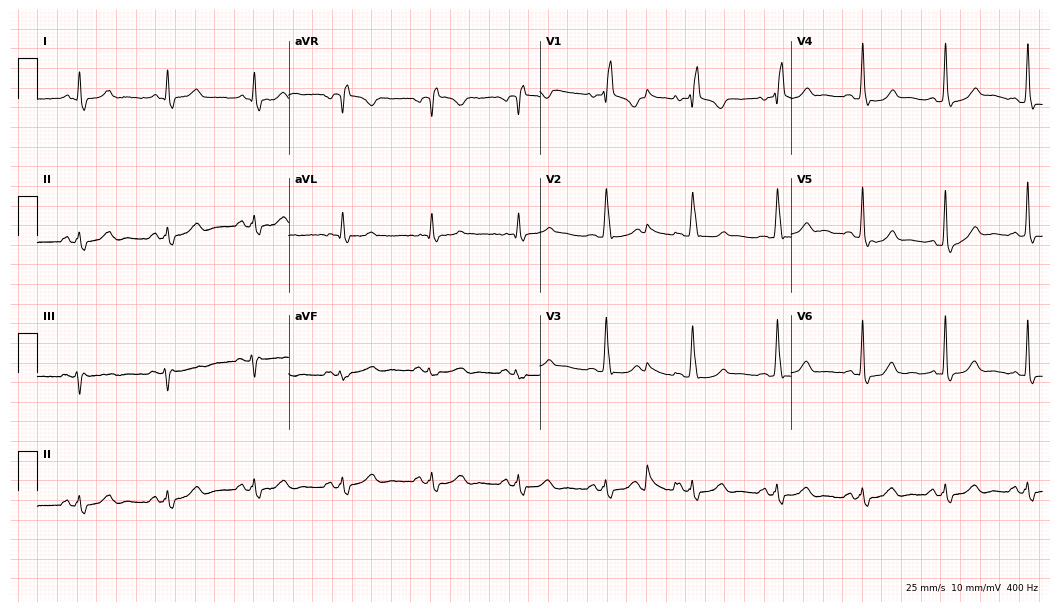
Electrocardiogram, a female, 54 years old. Interpretation includes right bundle branch block (RBBB).